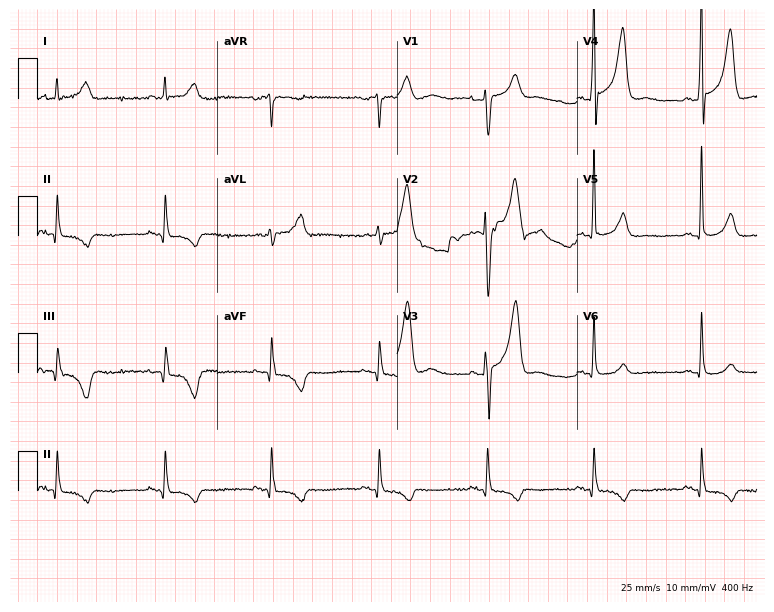
ECG — a male patient, 65 years old. Screened for six findings — first-degree AV block, right bundle branch block (RBBB), left bundle branch block (LBBB), sinus bradycardia, atrial fibrillation (AF), sinus tachycardia — none is recorded.